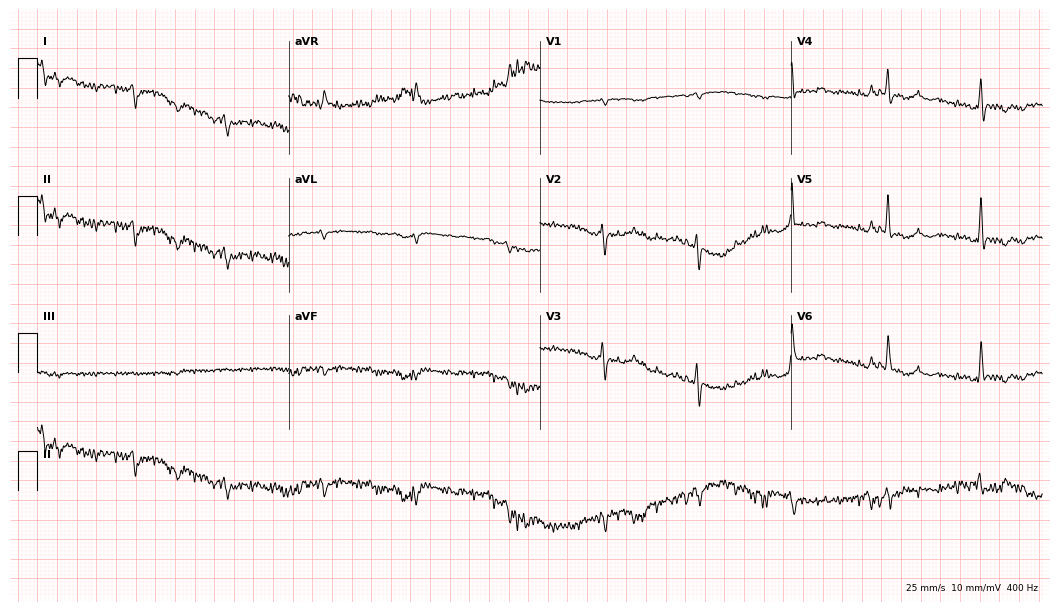
12-lead ECG from a woman, 66 years old (10.2-second recording at 400 Hz). No first-degree AV block, right bundle branch block (RBBB), left bundle branch block (LBBB), sinus bradycardia, atrial fibrillation (AF) or sinus tachycardia recorded for this tracing. Only these six findings were labelled.